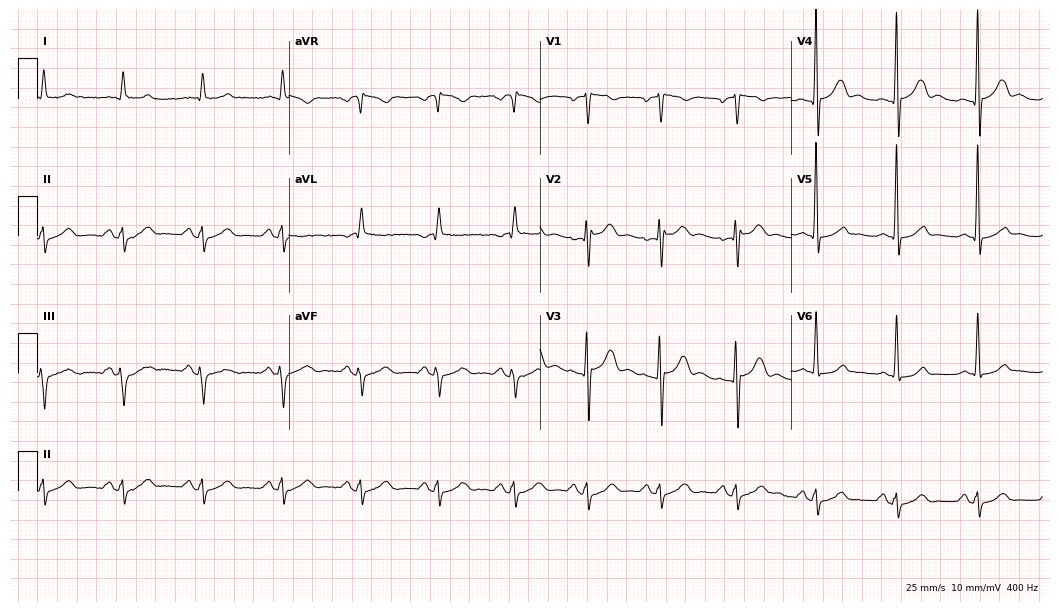
12-lead ECG from a male, 67 years old. Labelled as a normal ECG.